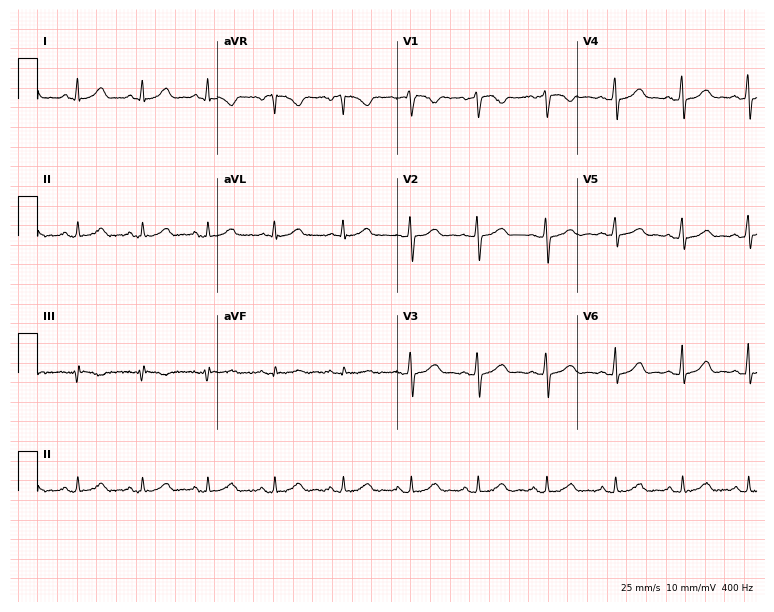
ECG (7.3-second recording at 400 Hz) — a 44-year-old female. Labelled as a normal ECG.